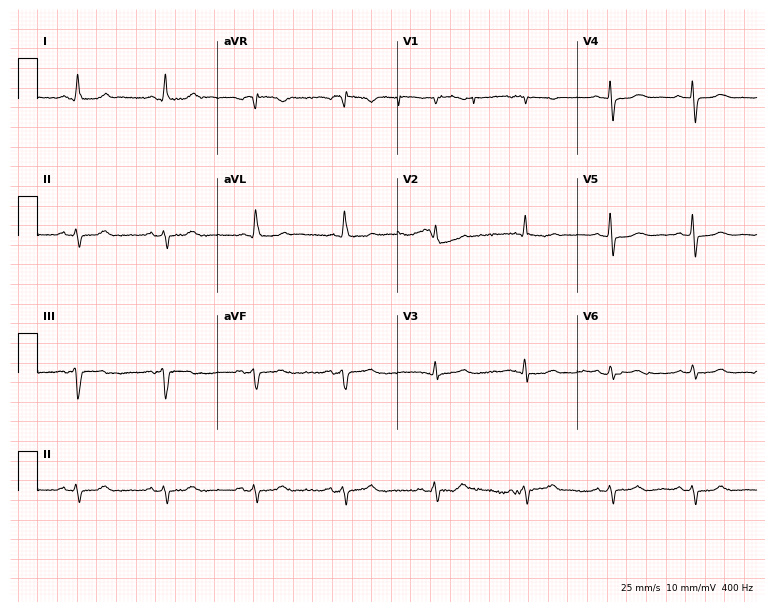
ECG (7.3-second recording at 400 Hz) — a female patient, 78 years old. Screened for six findings — first-degree AV block, right bundle branch block, left bundle branch block, sinus bradycardia, atrial fibrillation, sinus tachycardia — none is recorded. Findings outside these six are not listed.